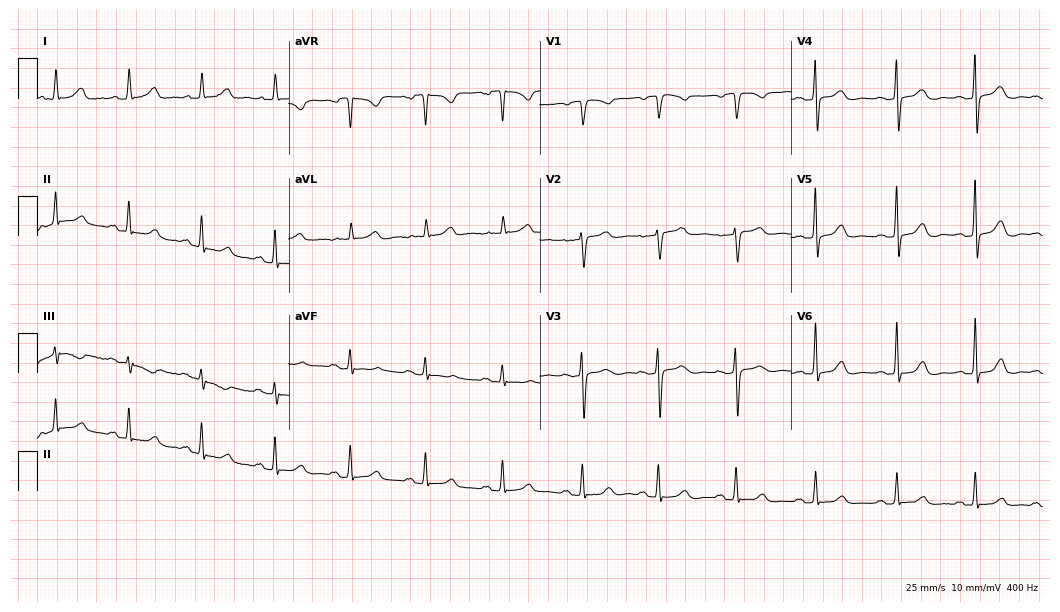
Resting 12-lead electrocardiogram (10.2-second recording at 400 Hz). Patient: a female, 81 years old. Read as a normal ECG.